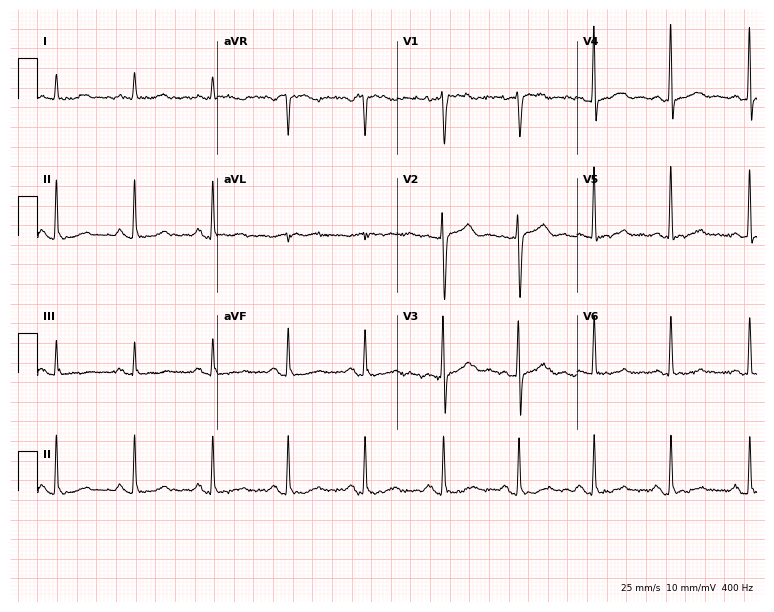
ECG (7.3-second recording at 400 Hz) — a woman, 51 years old. Screened for six findings — first-degree AV block, right bundle branch block (RBBB), left bundle branch block (LBBB), sinus bradycardia, atrial fibrillation (AF), sinus tachycardia — none is recorded. Findings outside these six are not listed.